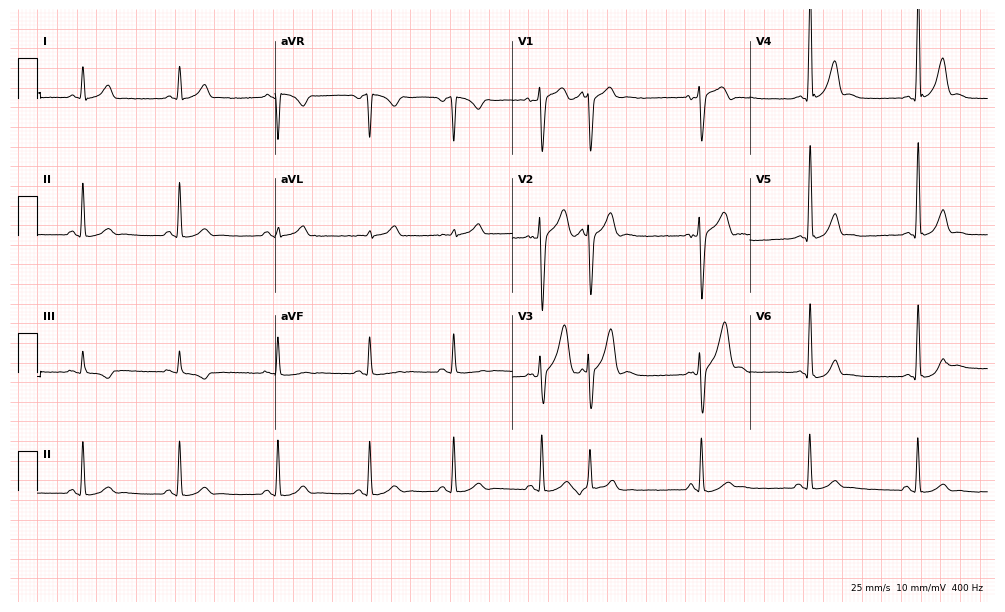
12-lead ECG from a male patient, 27 years old. No first-degree AV block, right bundle branch block (RBBB), left bundle branch block (LBBB), sinus bradycardia, atrial fibrillation (AF) or sinus tachycardia recorded for this tracing.